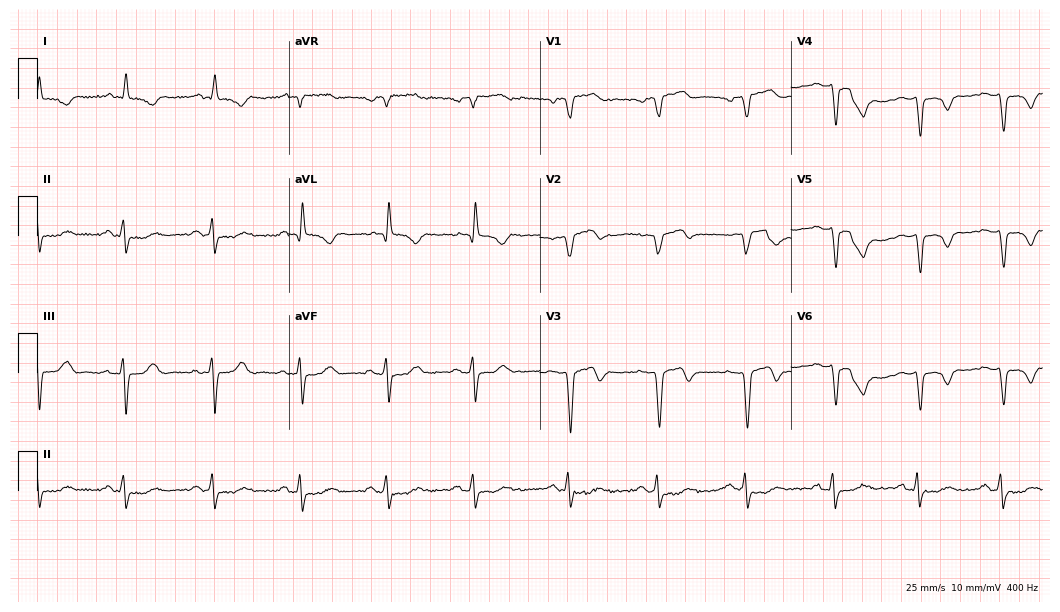
ECG (10.2-second recording at 400 Hz) — a 76-year-old male. Findings include left bundle branch block.